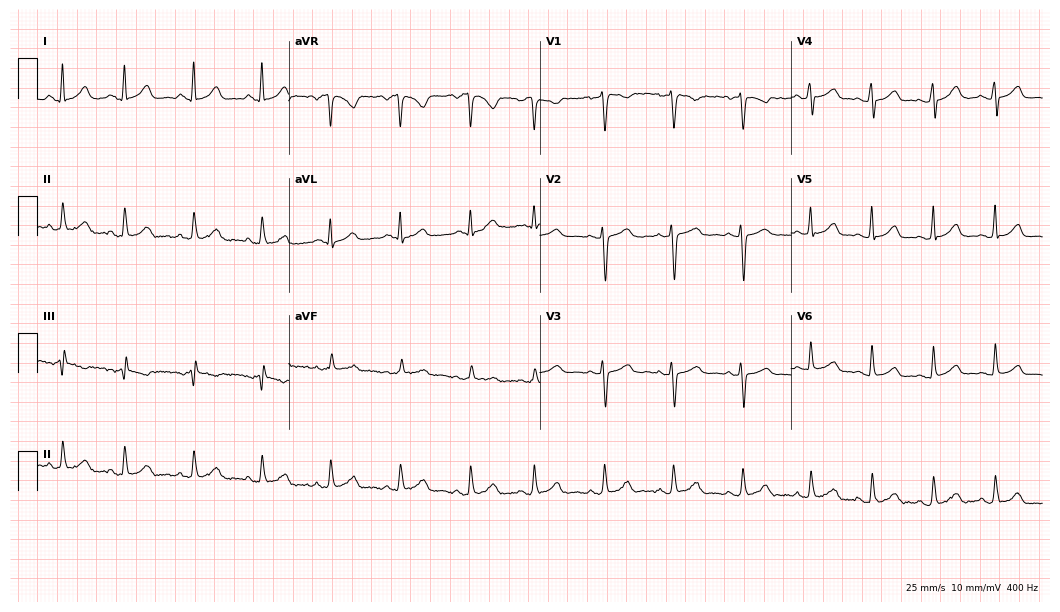
Standard 12-lead ECG recorded from a female patient, 23 years old (10.2-second recording at 400 Hz). Read as a normal ECG.